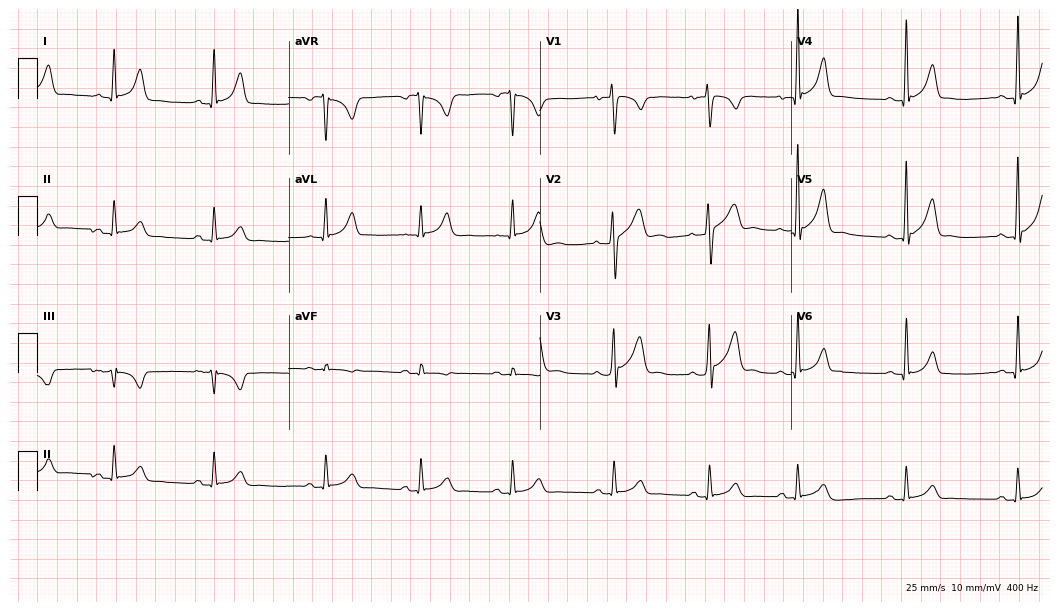
Electrocardiogram (10.2-second recording at 400 Hz), a male, 24 years old. Overall reading on record: normal ECG.